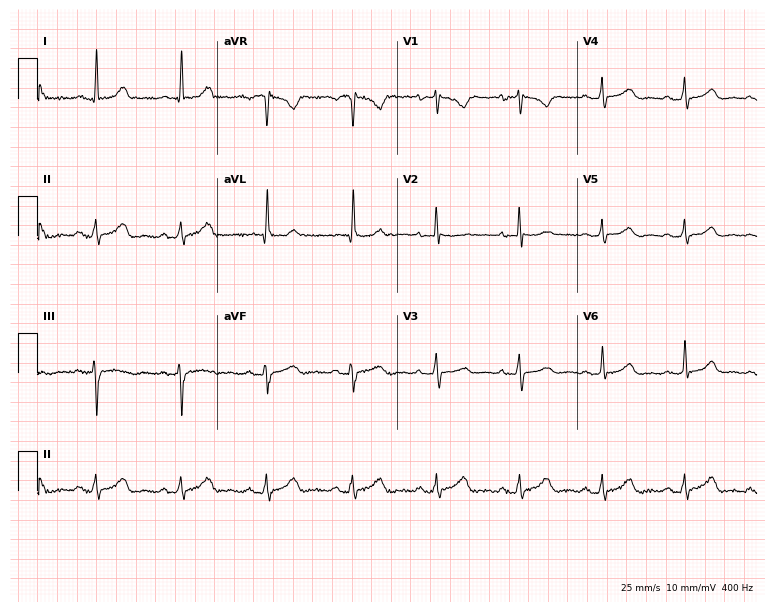
ECG (7.3-second recording at 400 Hz) — a woman, 55 years old. Labelled as a normal ECG.